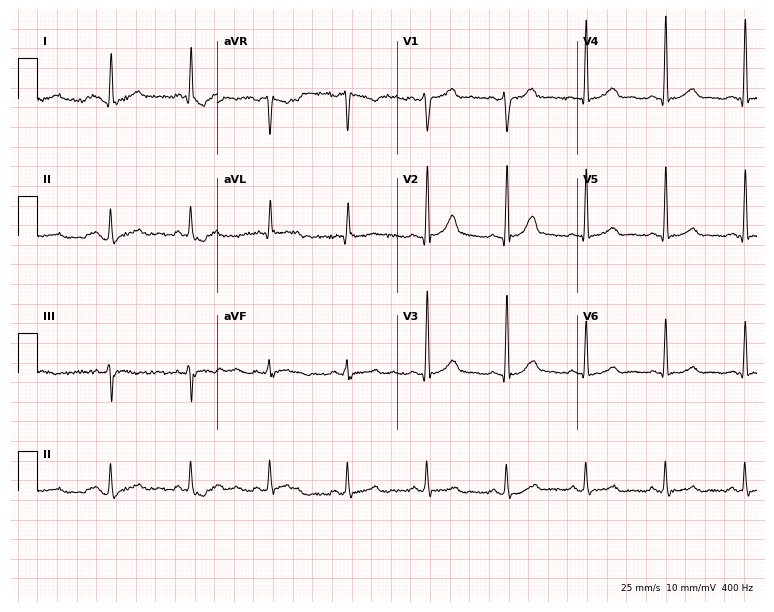
Electrocardiogram, a 49-year-old man. Overall reading on record: normal ECG.